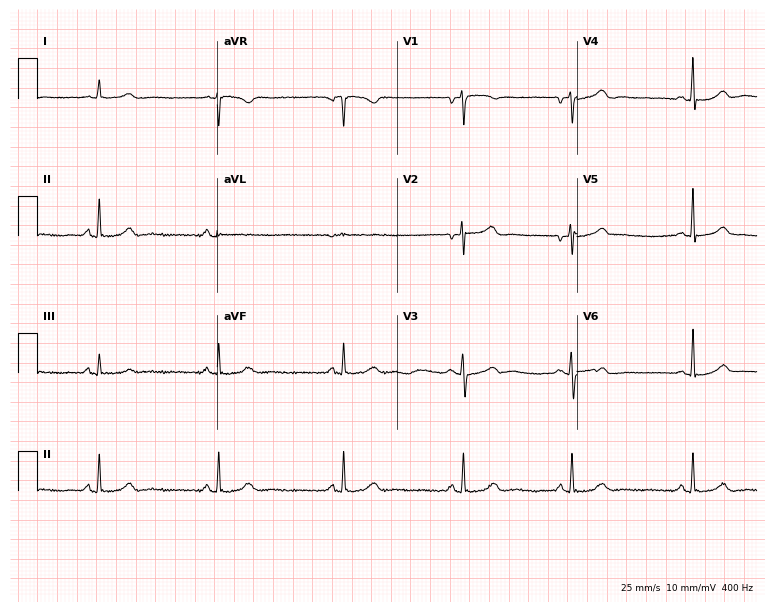
Standard 12-lead ECG recorded from a 38-year-old female (7.3-second recording at 400 Hz). None of these six findings is recorded: first-degree AV block, right bundle branch block, left bundle branch block, sinus bradycardia, atrial fibrillation, sinus tachycardia. Other findings, if any, are not listed.